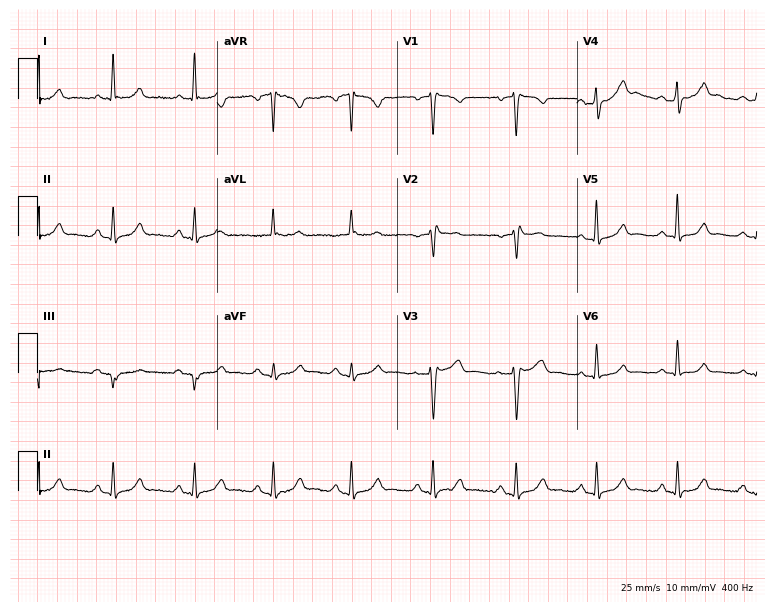
12-lead ECG from a 40-year-old female (7.3-second recording at 400 Hz). Recorded interpretation: within normal limits.